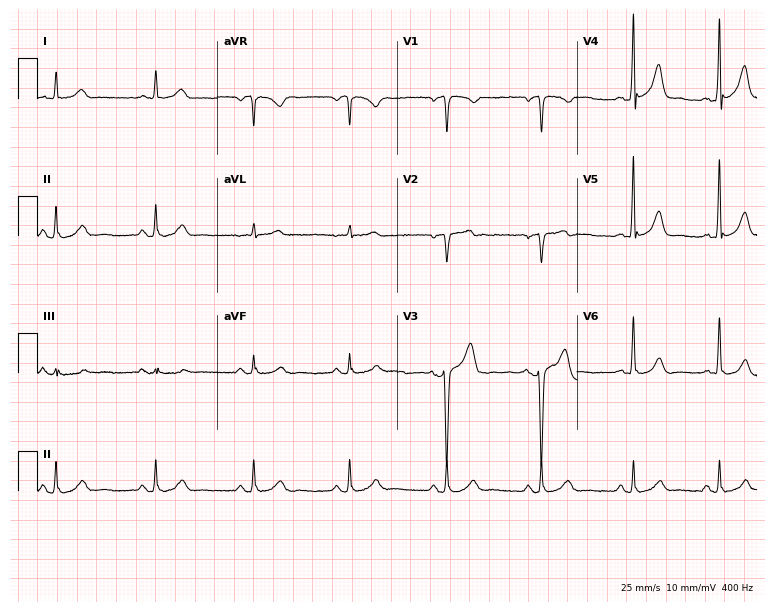
ECG — a man, 47 years old. Screened for six findings — first-degree AV block, right bundle branch block, left bundle branch block, sinus bradycardia, atrial fibrillation, sinus tachycardia — none is recorded.